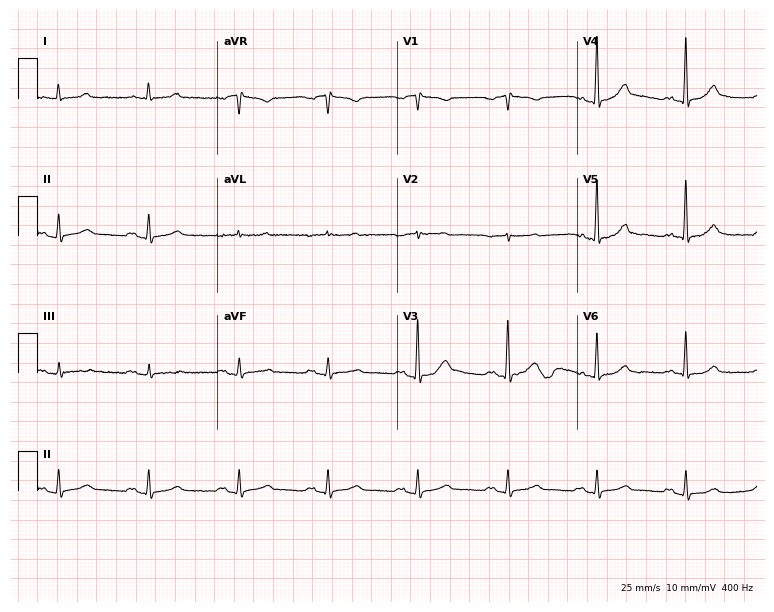
Electrocardiogram (7.3-second recording at 400 Hz), a 67-year-old female. Overall reading on record: normal ECG.